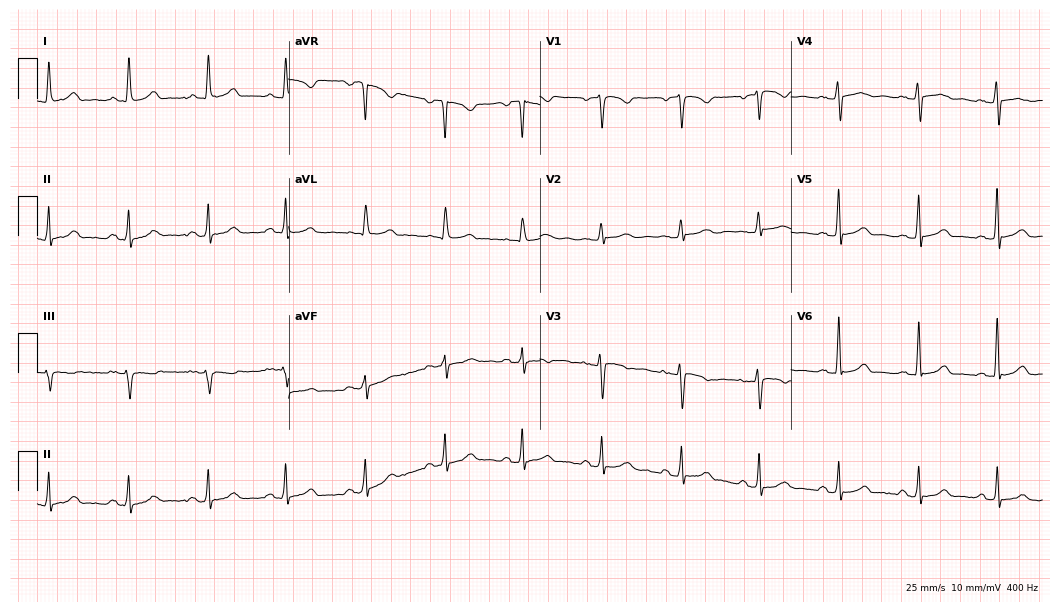
Resting 12-lead electrocardiogram (10.2-second recording at 400 Hz). Patient: a female, 46 years old. Read as a normal ECG.